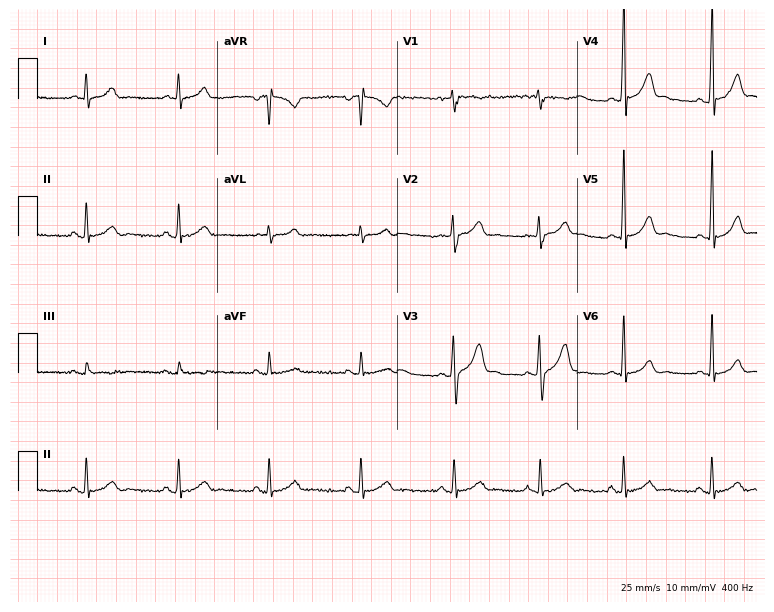
12-lead ECG from a male patient, 23 years old. No first-degree AV block, right bundle branch block (RBBB), left bundle branch block (LBBB), sinus bradycardia, atrial fibrillation (AF) or sinus tachycardia recorded for this tracing.